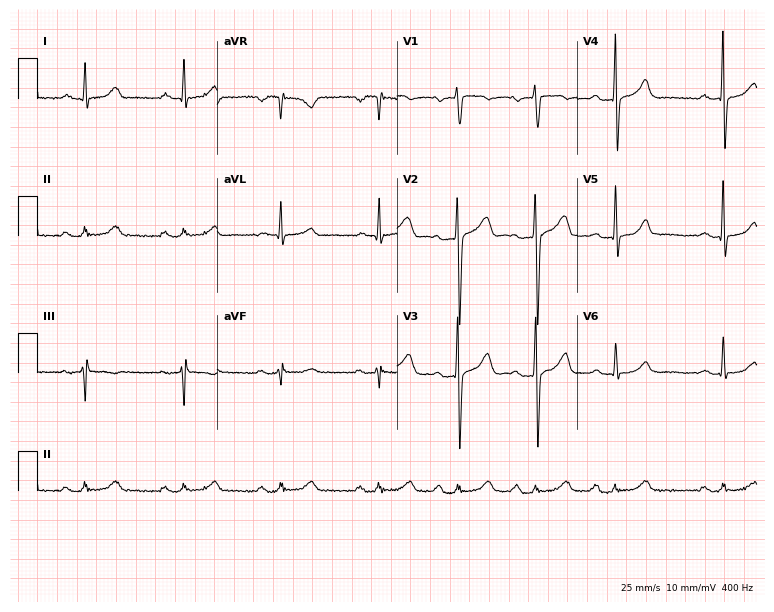
Resting 12-lead electrocardiogram. Patient: a 43-year-old man. None of these six findings is recorded: first-degree AV block, right bundle branch block, left bundle branch block, sinus bradycardia, atrial fibrillation, sinus tachycardia. Only these six findings were labelled.